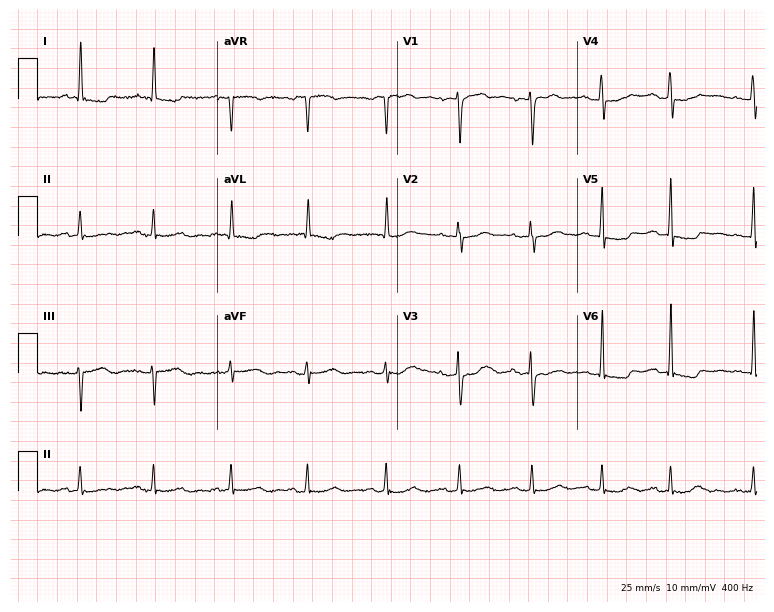
ECG — a woman, 73 years old. Screened for six findings — first-degree AV block, right bundle branch block (RBBB), left bundle branch block (LBBB), sinus bradycardia, atrial fibrillation (AF), sinus tachycardia — none is recorded.